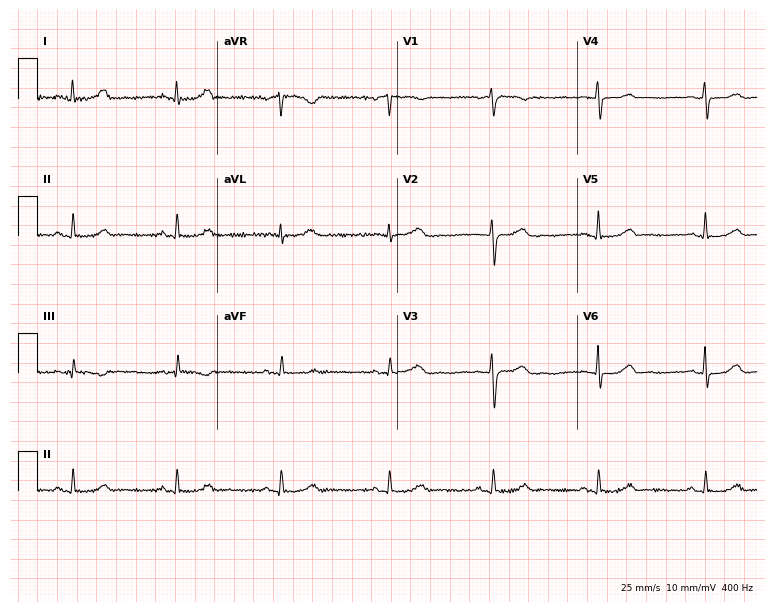
12-lead ECG (7.3-second recording at 400 Hz) from a 50-year-old female. Labelled as a normal ECG.